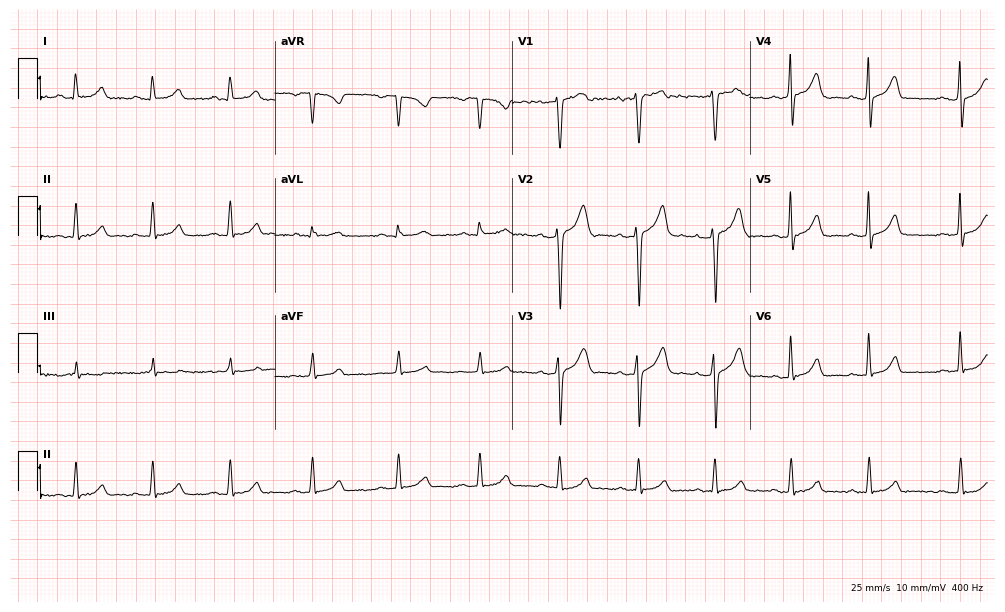
Electrocardiogram (9.7-second recording at 400 Hz), a 23-year-old man. Of the six screened findings (first-degree AV block, right bundle branch block (RBBB), left bundle branch block (LBBB), sinus bradycardia, atrial fibrillation (AF), sinus tachycardia), none is recorded.